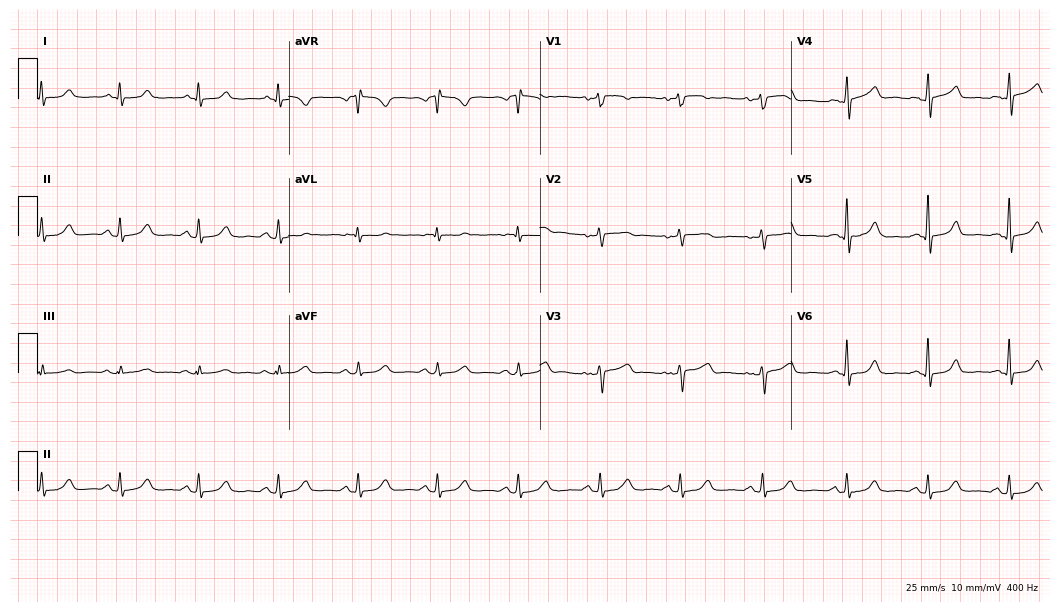
ECG (10.2-second recording at 400 Hz) — a male, 43 years old. Labelled as a normal ECG.